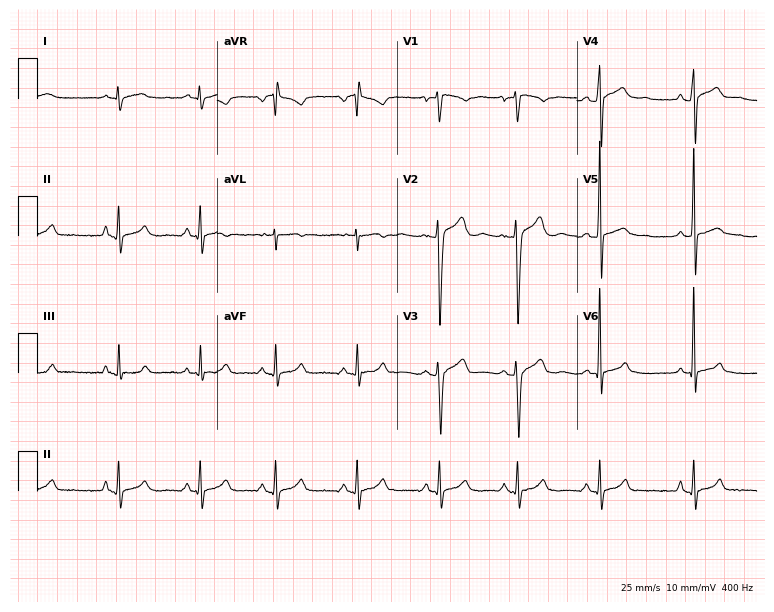
12-lead ECG (7.3-second recording at 400 Hz) from a 21-year-old female. Screened for six findings — first-degree AV block, right bundle branch block, left bundle branch block, sinus bradycardia, atrial fibrillation, sinus tachycardia — none is recorded.